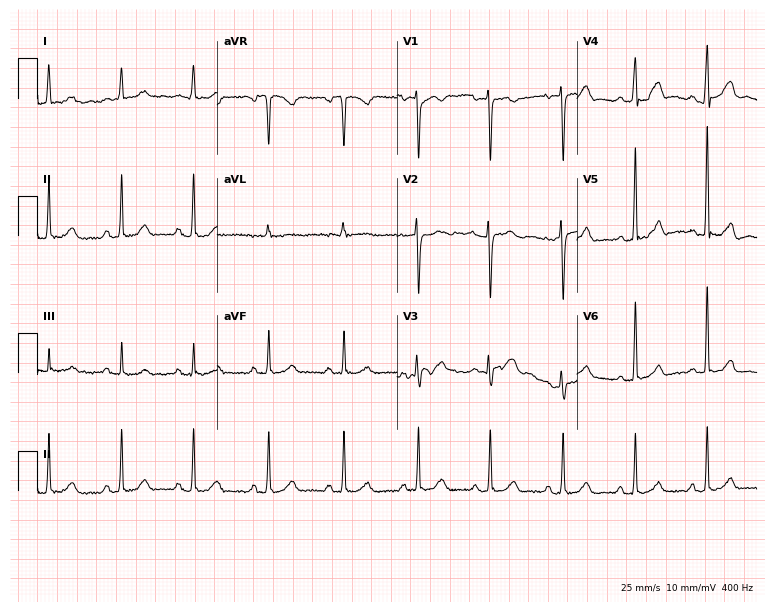
12-lead ECG from a 49-year-old woman. Recorded interpretation: within normal limits.